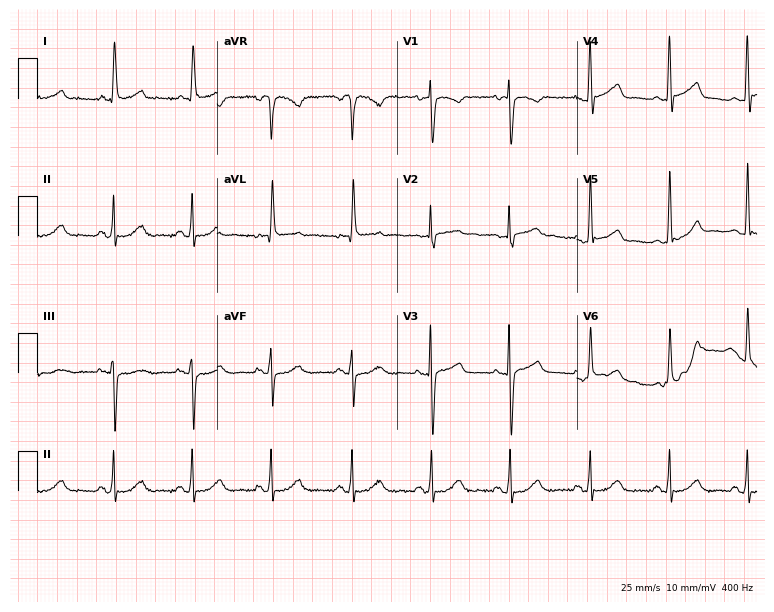
Standard 12-lead ECG recorded from a woman, 76 years old. Read as a normal ECG.